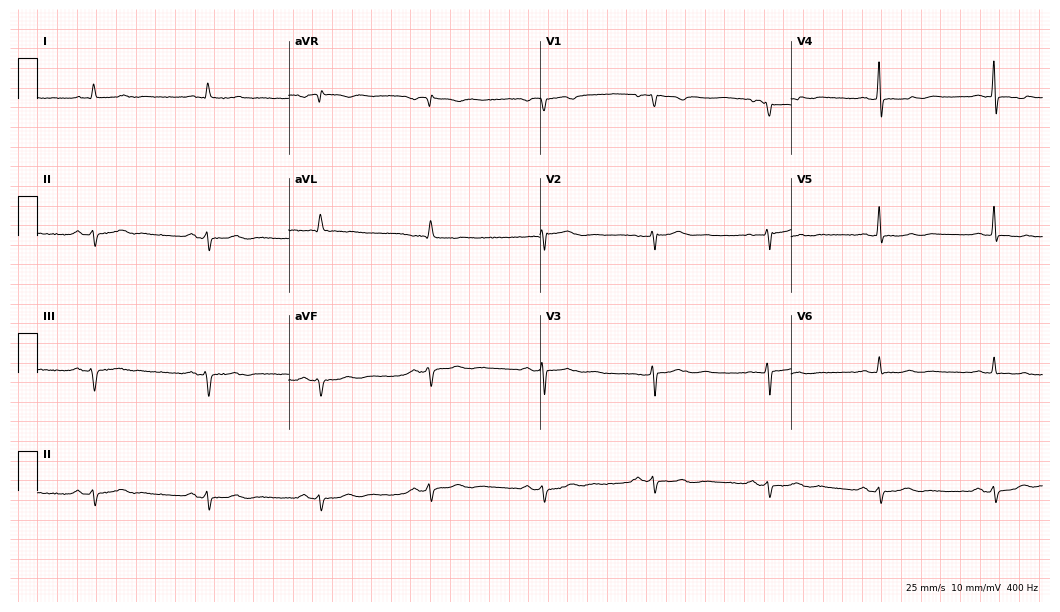
12-lead ECG (10.2-second recording at 400 Hz) from a 68-year-old female. Screened for six findings — first-degree AV block, right bundle branch block (RBBB), left bundle branch block (LBBB), sinus bradycardia, atrial fibrillation (AF), sinus tachycardia — none is recorded. Other findings, if any, are not listed.